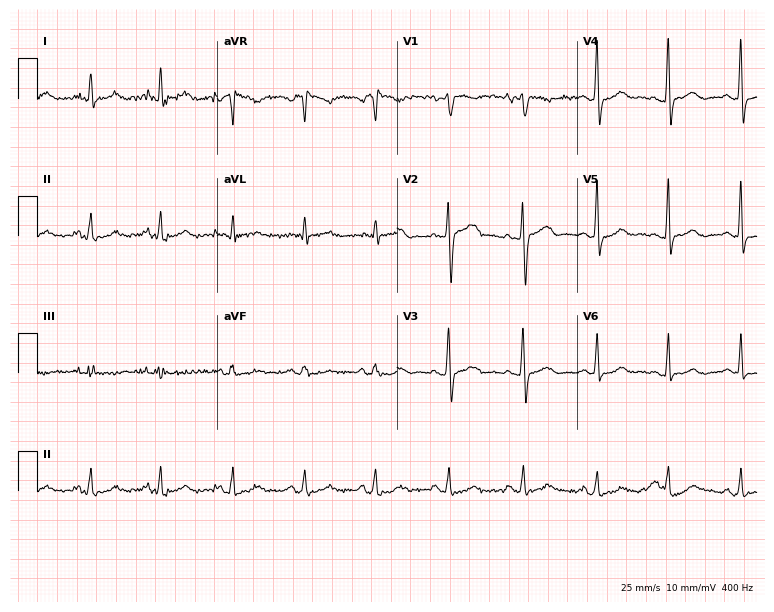
Electrocardiogram (7.3-second recording at 400 Hz), a 49-year-old female. Overall reading on record: normal ECG.